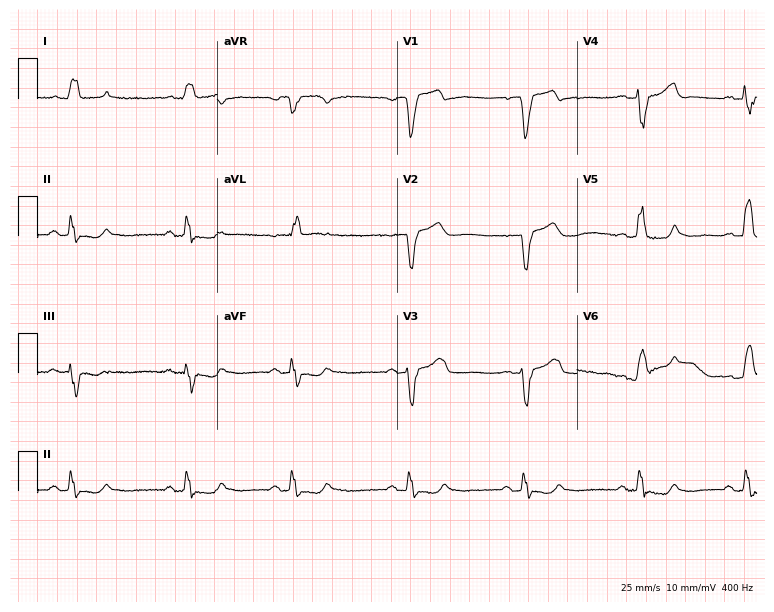
12-lead ECG from a 68-year-old female patient. Shows left bundle branch block.